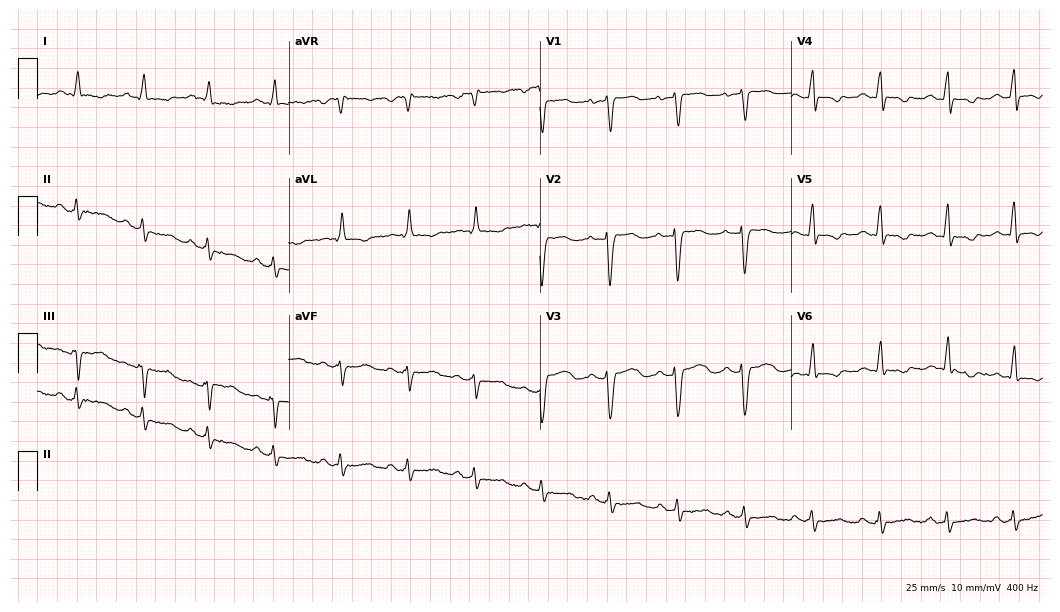
Standard 12-lead ECG recorded from a 43-year-old woman (10.2-second recording at 400 Hz). None of these six findings is recorded: first-degree AV block, right bundle branch block, left bundle branch block, sinus bradycardia, atrial fibrillation, sinus tachycardia.